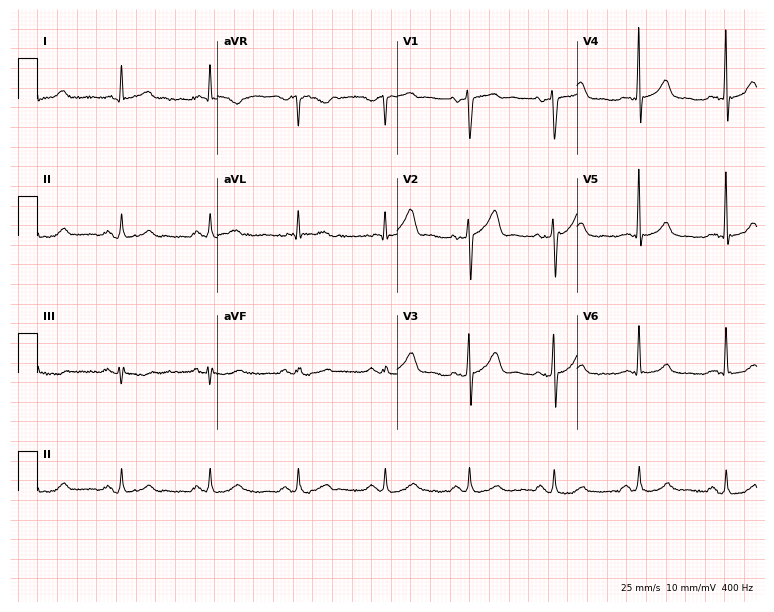
Electrocardiogram (7.3-second recording at 400 Hz), a 53-year-old male patient. Overall reading on record: normal ECG.